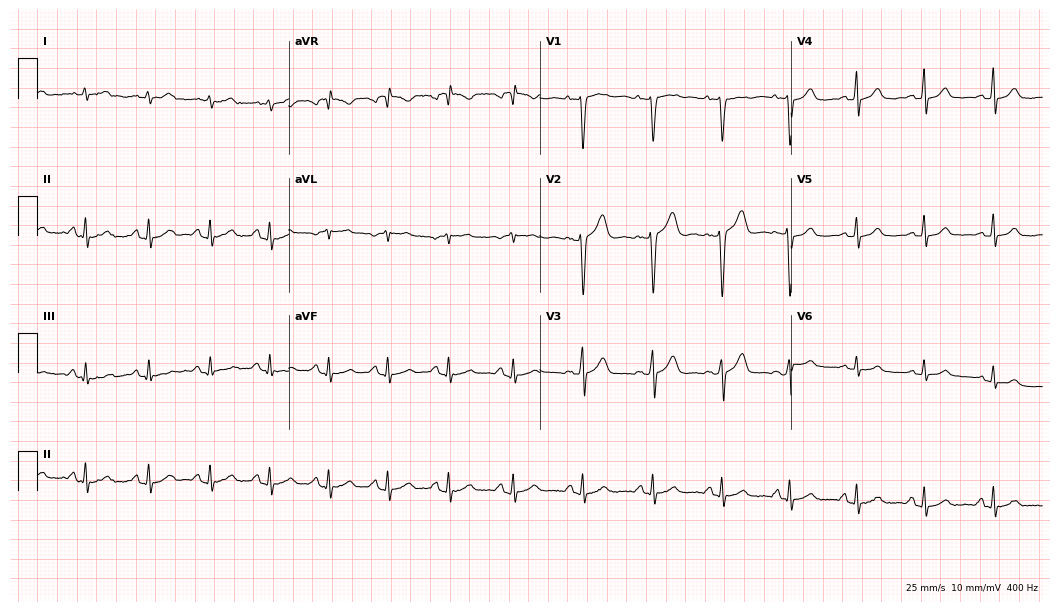
Standard 12-lead ECG recorded from a woman, 26 years old. Read as a normal ECG.